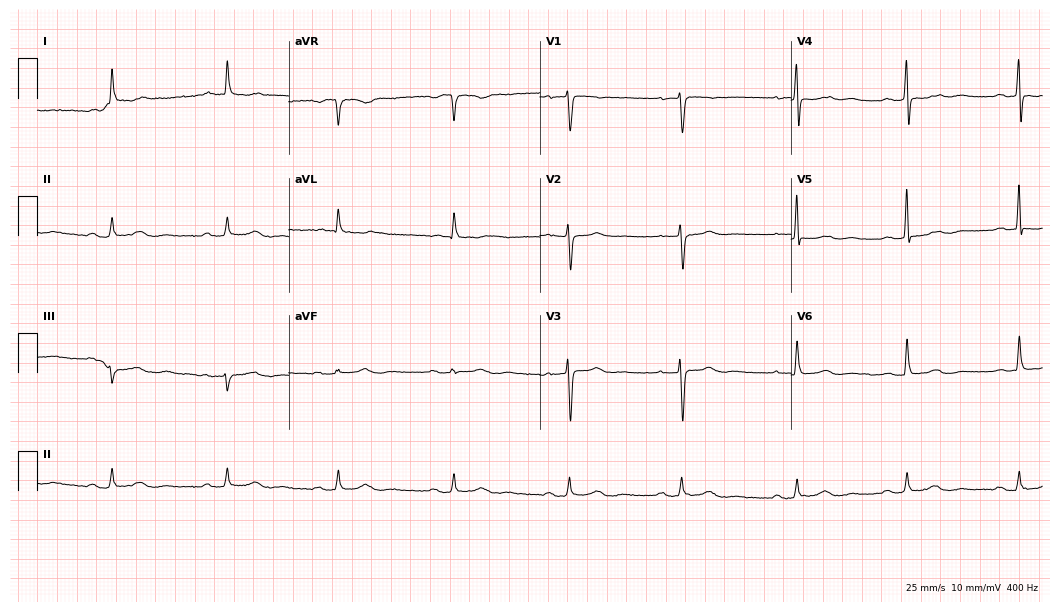
12-lead ECG from a 70-year-old woman. Shows first-degree AV block.